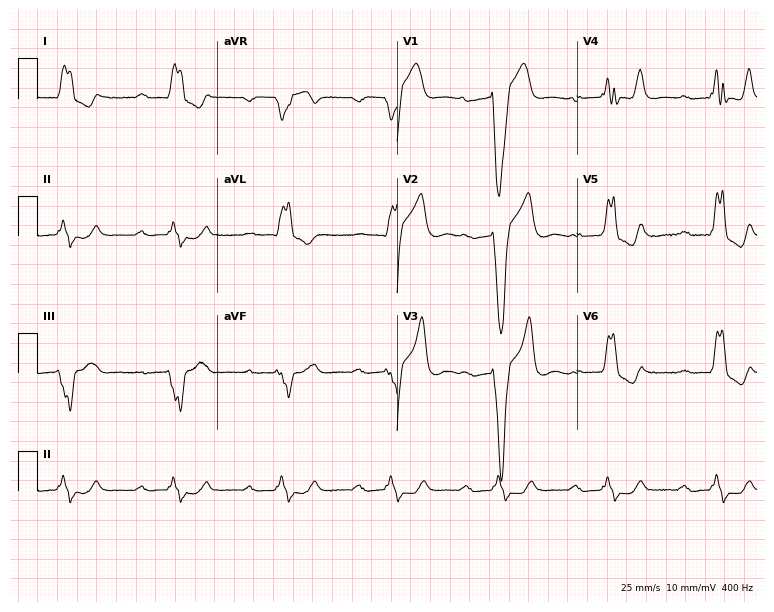
Electrocardiogram, a 43-year-old man. Interpretation includes first-degree AV block, left bundle branch block.